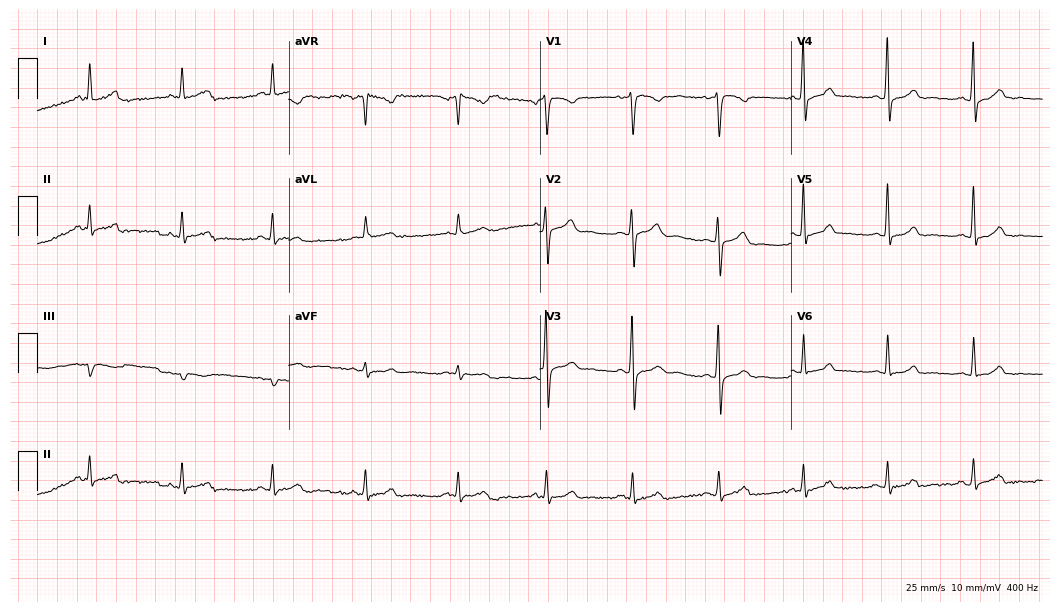
Electrocardiogram (10.2-second recording at 400 Hz), a man, 37 years old. Overall reading on record: normal ECG.